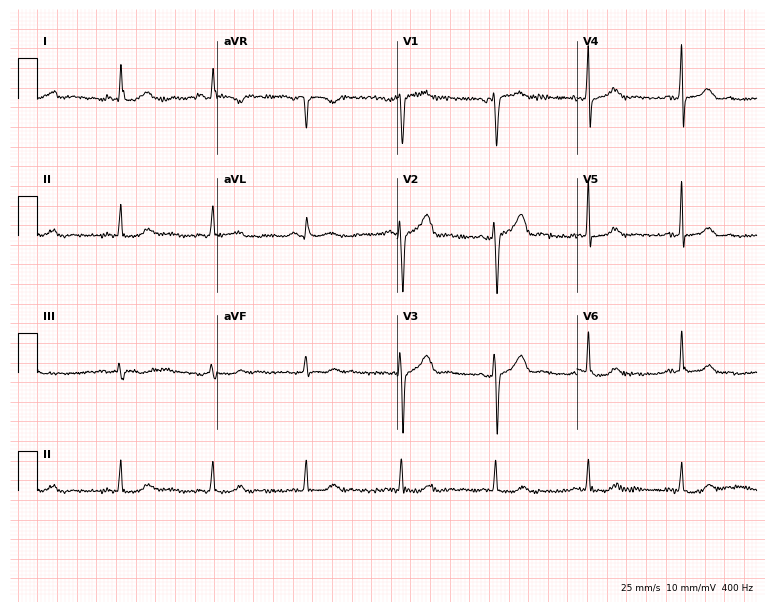
Electrocardiogram, a 55-year-old female patient. Overall reading on record: normal ECG.